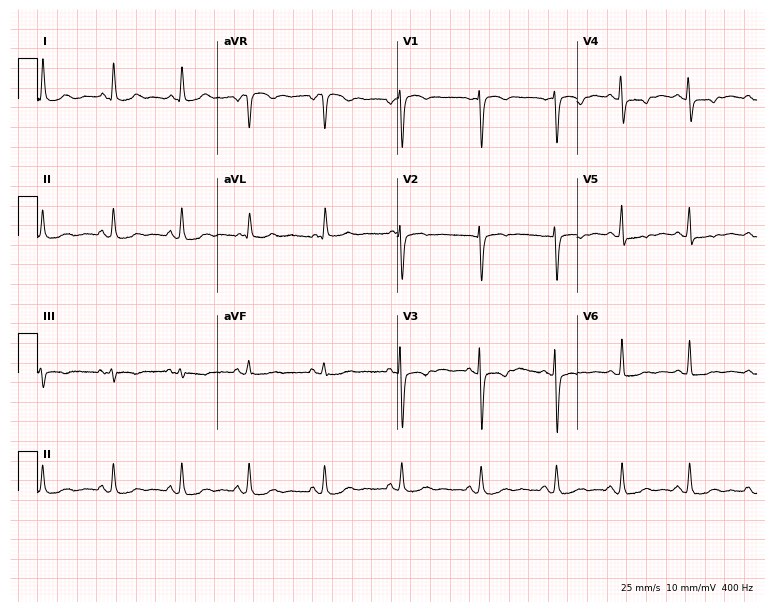
12-lead ECG from a 63-year-old woman. No first-degree AV block, right bundle branch block, left bundle branch block, sinus bradycardia, atrial fibrillation or sinus tachycardia recorded for this tracing.